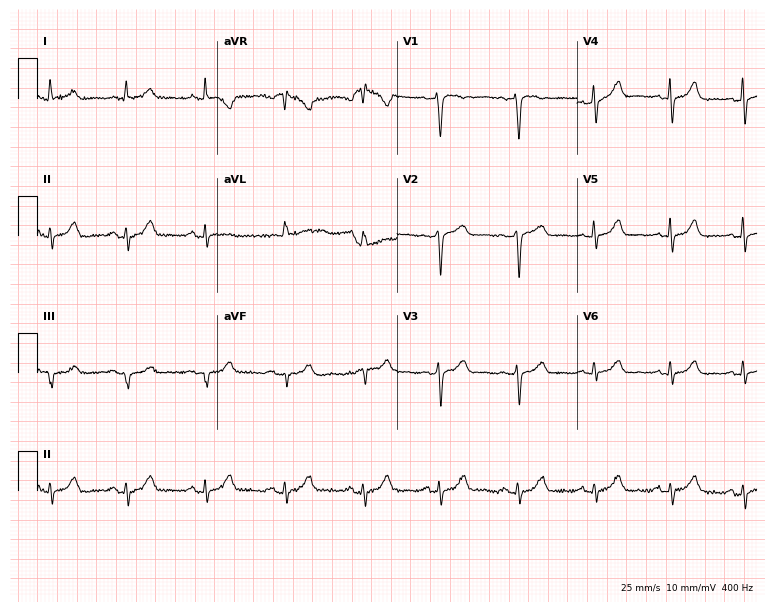
Electrocardiogram, a 50-year-old woman. Overall reading on record: normal ECG.